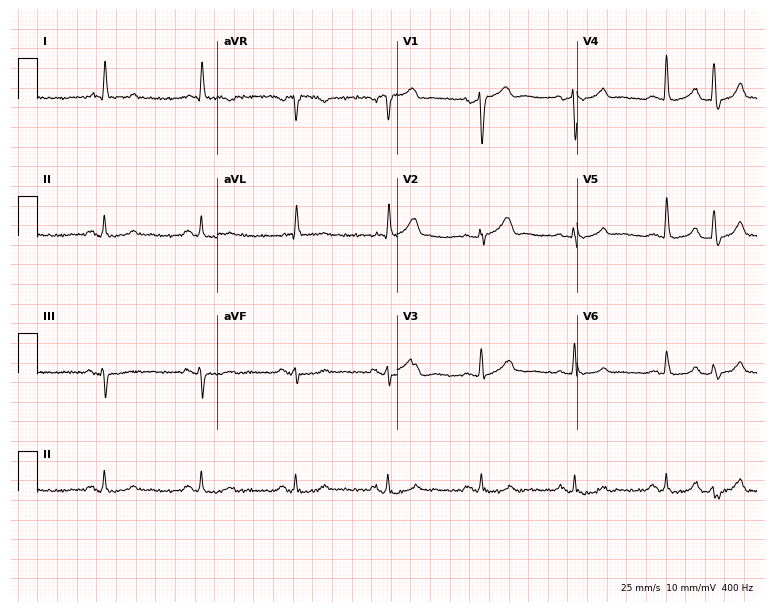
12-lead ECG from a 73-year-old male patient. Screened for six findings — first-degree AV block, right bundle branch block, left bundle branch block, sinus bradycardia, atrial fibrillation, sinus tachycardia — none is recorded.